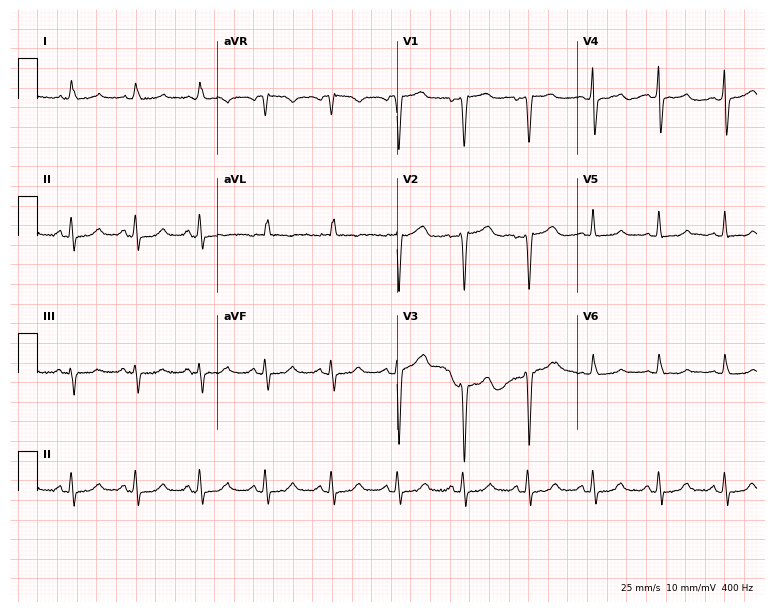
Resting 12-lead electrocardiogram. Patient: a 74-year-old female. None of these six findings is recorded: first-degree AV block, right bundle branch block, left bundle branch block, sinus bradycardia, atrial fibrillation, sinus tachycardia.